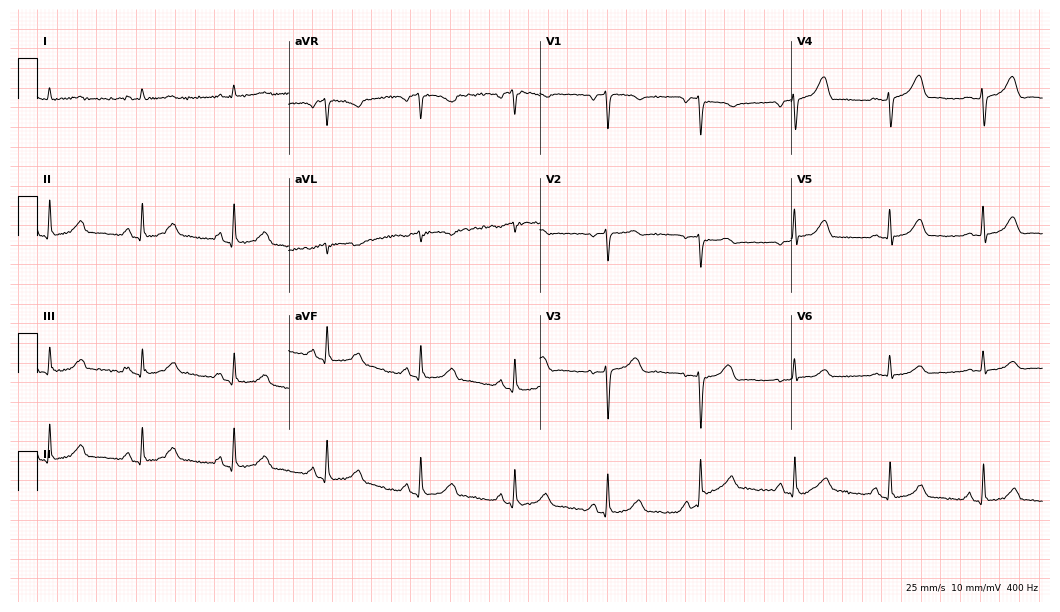
12-lead ECG (10.2-second recording at 400 Hz) from a male, 71 years old. Labelled as a normal ECG.